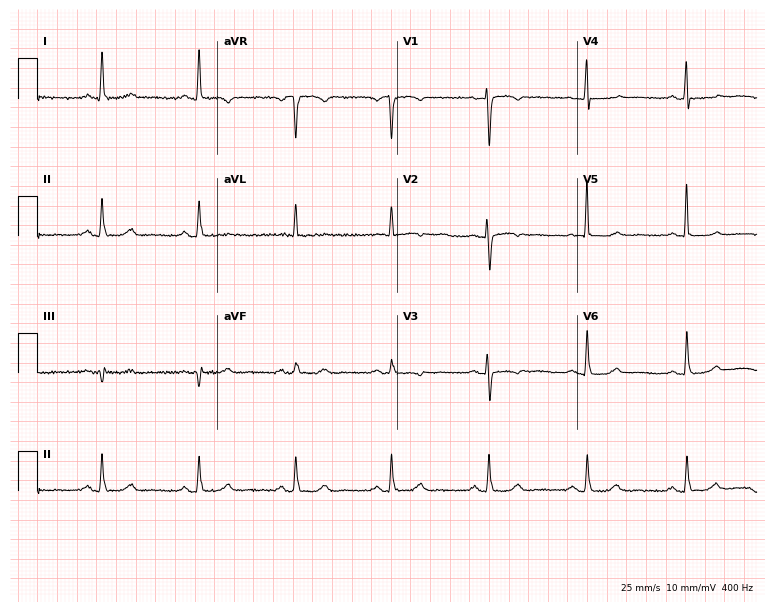
Standard 12-lead ECG recorded from a 64-year-old woman. None of these six findings is recorded: first-degree AV block, right bundle branch block, left bundle branch block, sinus bradycardia, atrial fibrillation, sinus tachycardia. Only these six findings were labelled.